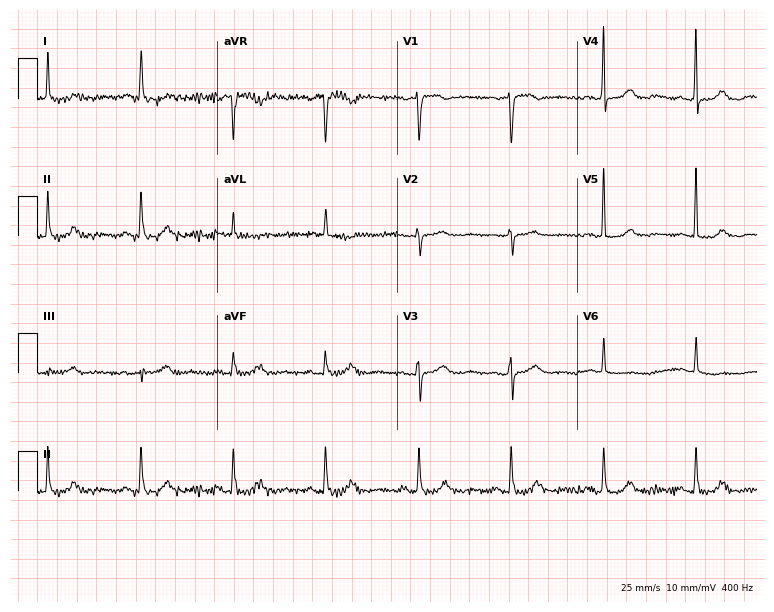
Electrocardiogram, a 79-year-old woman. Overall reading on record: normal ECG.